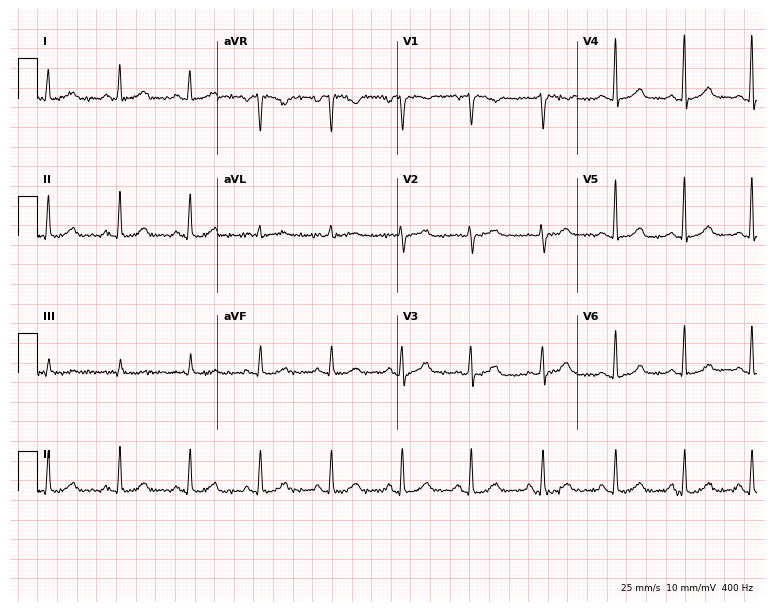
Standard 12-lead ECG recorded from a 58-year-old female patient (7.3-second recording at 400 Hz). Read as a normal ECG.